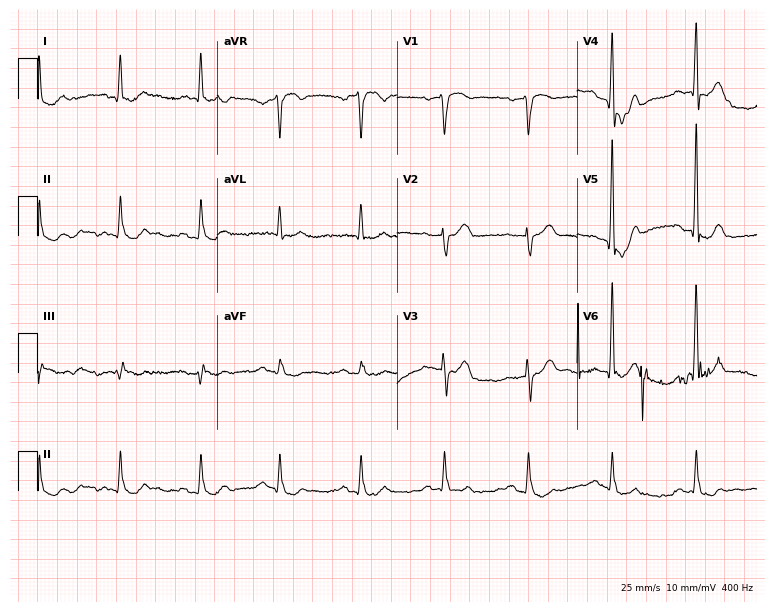
Standard 12-lead ECG recorded from a man, 80 years old (7.3-second recording at 400 Hz). None of these six findings is recorded: first-degree AV block, right bundle branch block, left bundle branch block, sinus bradycardia, atrial fibrillation, sinus tachycardia. Only these six findings were labelled.